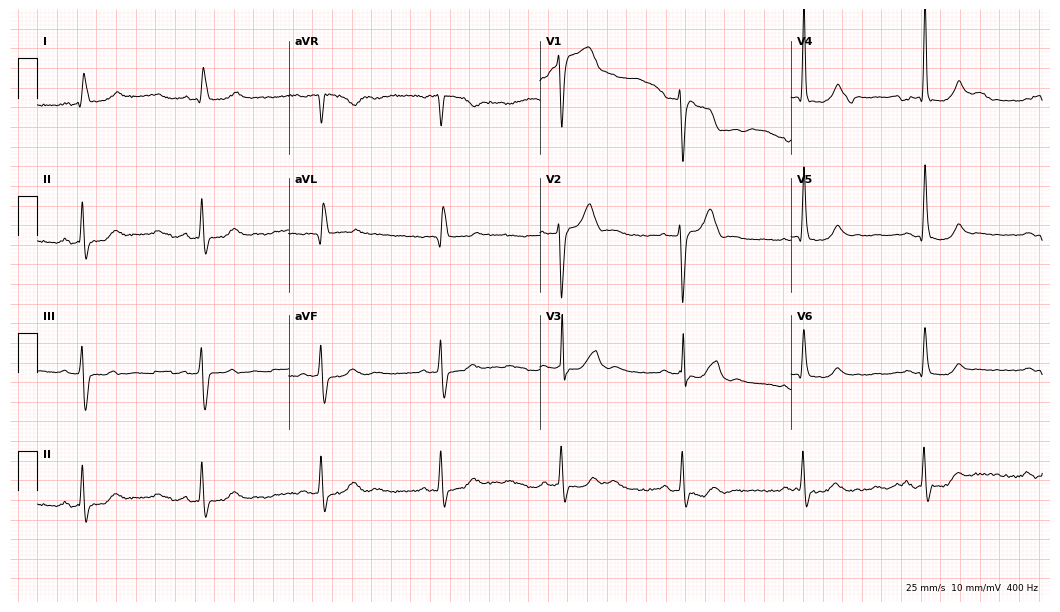
Electrocardiogram (10.2-second recording at 400 Hz), a 68-year-old male patient. Of the six screened findings (first-degree AV block, right bundle branch block, left bundle branch block, sinus bradycardia, atrial fibrillation, sinus tachycardia), none is recorded.